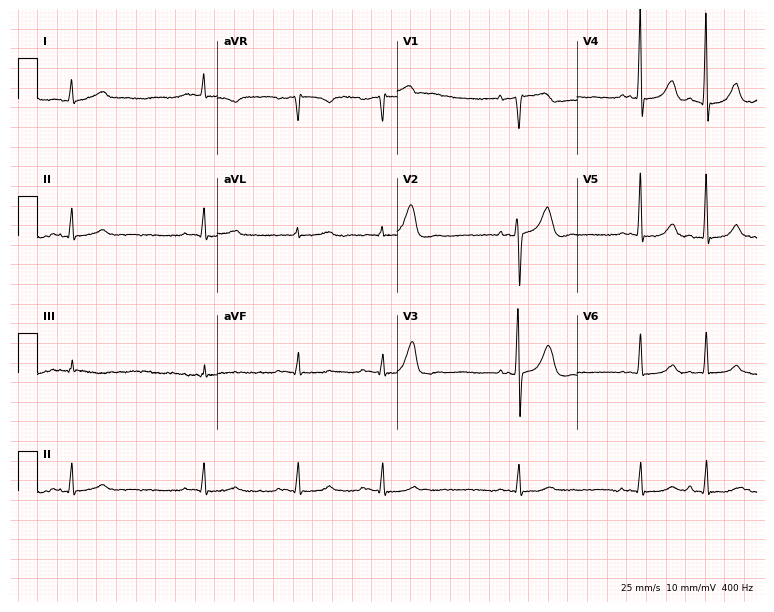
12-lead ECG from an 83-year-old male patient. No first-degree AV block, right bundle branch block (RBBB), left bundle branch block (LBBB), sinus bradycardia, atrial fibrillation (AF) or sinus tachycardia recorded for this tracing.